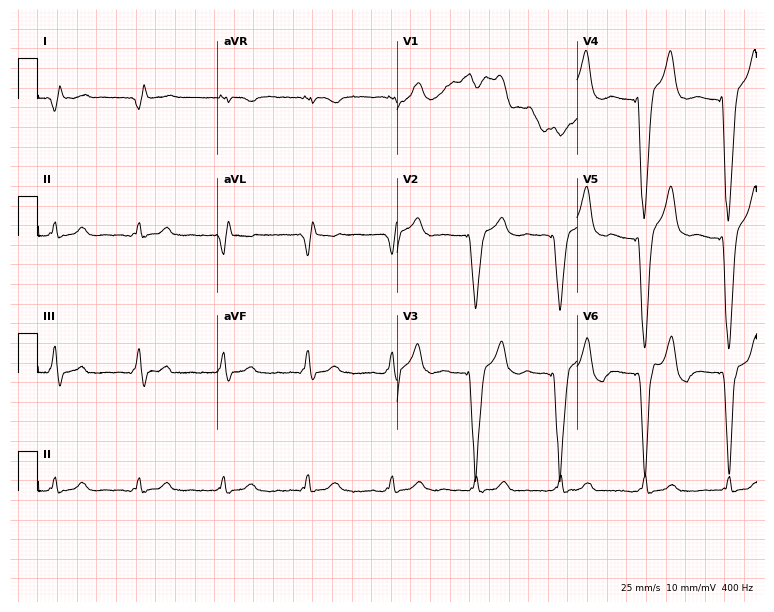
Electrocardiogram, a man, 74 years old. Of the six screened findings (first-degree AV block, right bundle branch block (RBBB), left bundle branch block (LBBB), sinus bradycardia, atrial fibrillation (AF), sinus tachycardia), none is recorded.